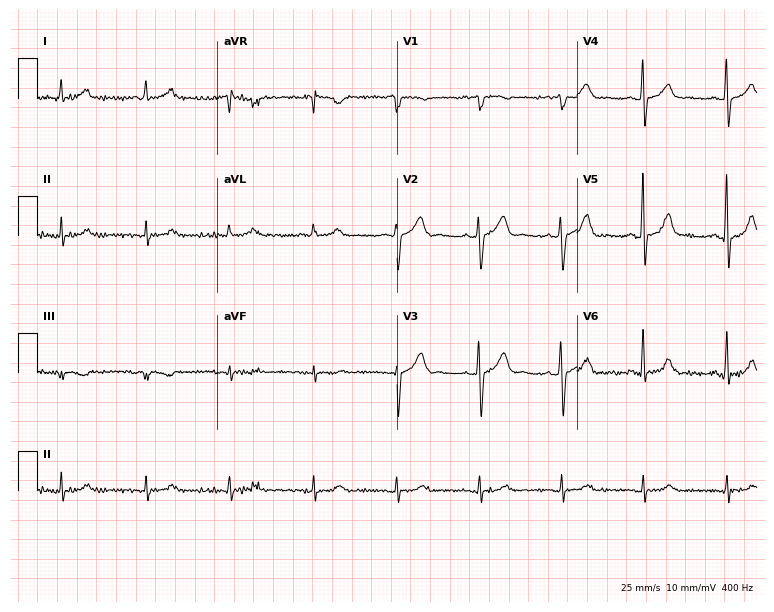
12-lead ECG from a 68-year-old male patient (7.3-second recording at 400 Hz). No first-degree AV block, right bundle branch block, left bundle branch block, sinus bradycardia, atrial fibrillation or sinus tachycardia recorded for this tracing. Other findings, if any, are not listed.